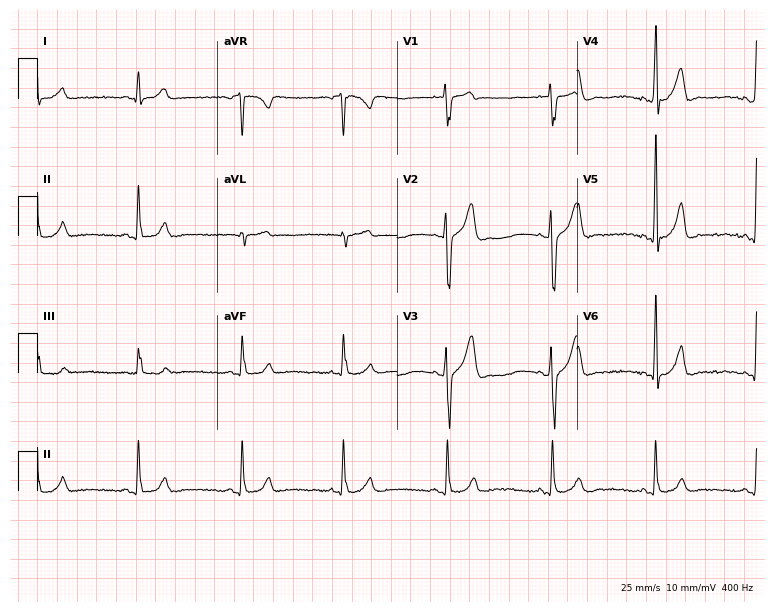
ECG (7.3-second recording at 400 Hz) — a man, 24 years old. Labelled as a normal ECG.